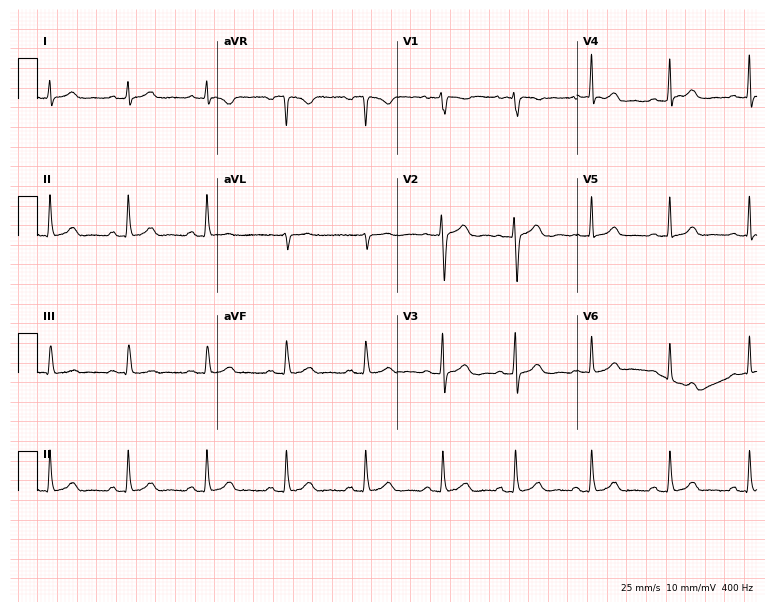
ECG (7.3-second recording at 400 Hz) — a female, 31 years old. Labelled as a normal ECG.